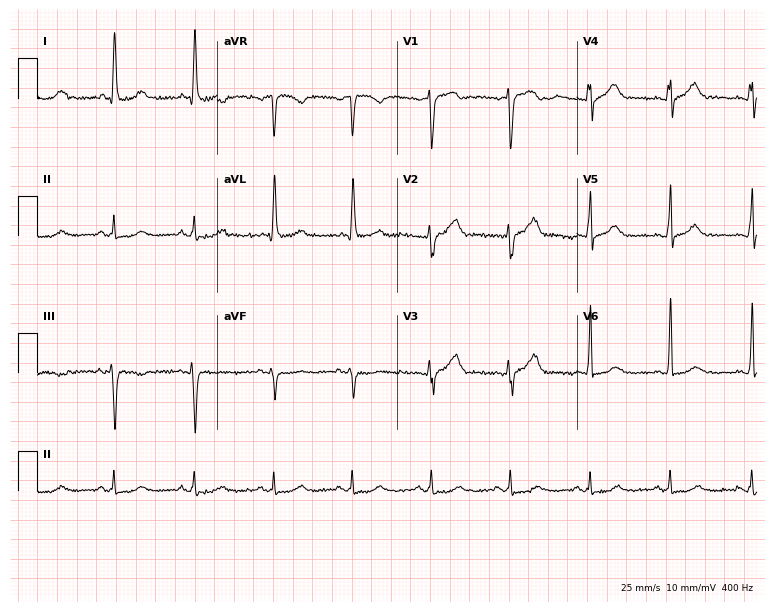
Electrocardiogram, a 64-year-old female. Of the six screened findings (first-degree AV block, right bundle branch block, left bundle branch block, sinus bradycardia, atrial fibrillation, sinus tachycardia), none is recorded.